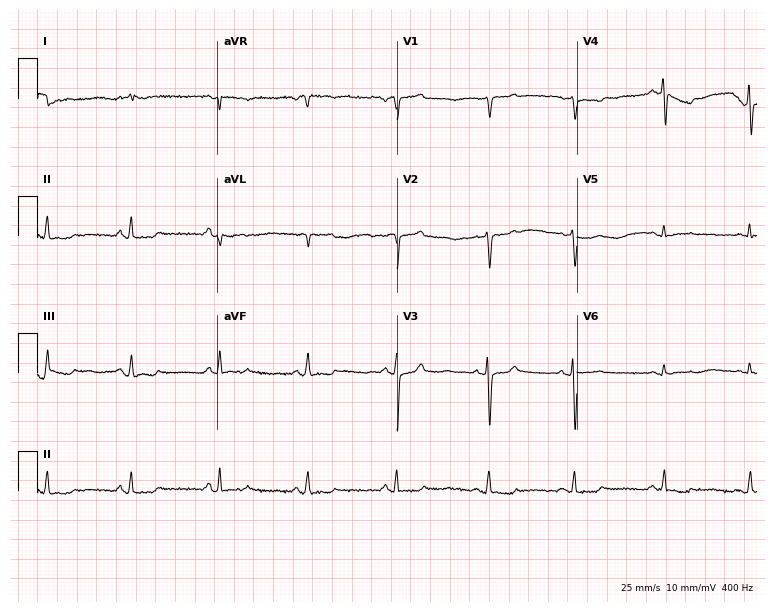
Resting 12-lead electrocardiogram (7.3-second recording at 400 Hz). Patient: an 86-year-old female. None of these six findings is recorded: first-degree AV block, right bundle branch block, left bundle branch block, sinus bradycardia, atrial fibrillation, sinus tachycardia.